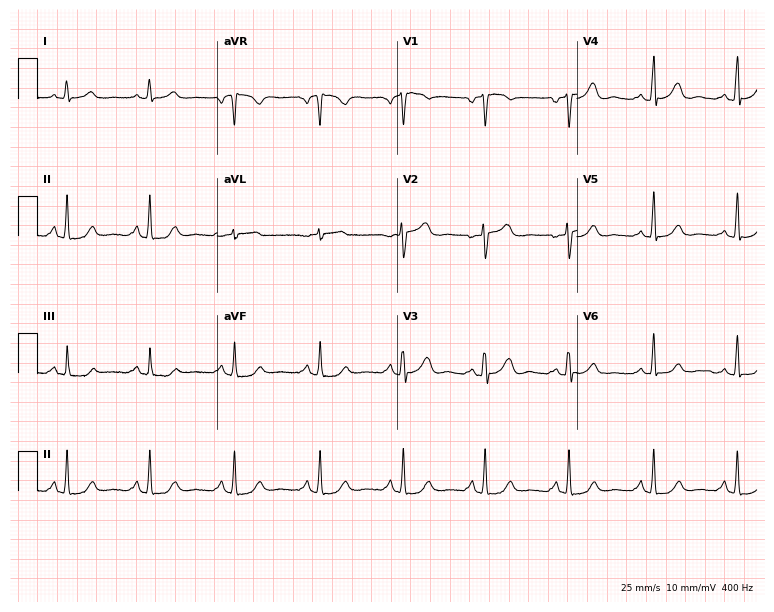
12-lead ECG (7.3-second recording at 400 Hz) from a 52-year-old woman. Screened for six findings — first-degree AV block, right bundle branch block, left bundle branch block, sinus bradycardia, atrial fibrillation, sinus tachycardia — none is recorded. Other findings, if any, are not listed.